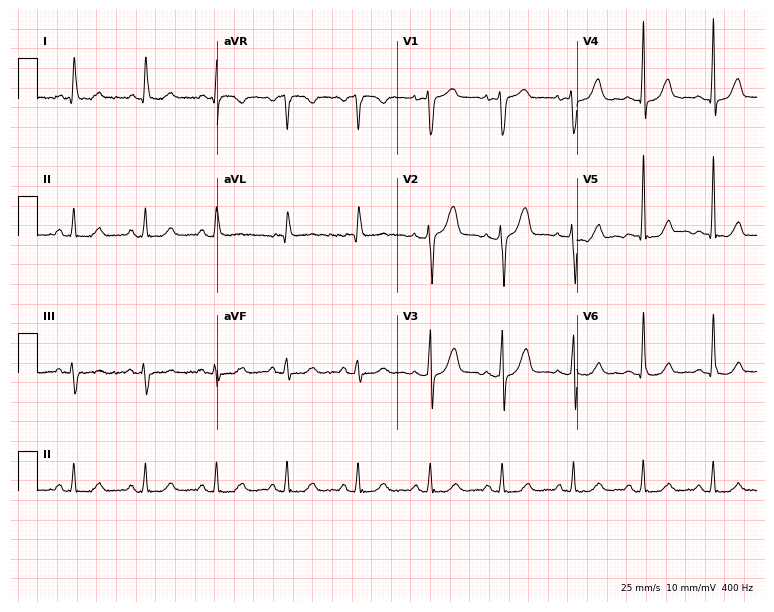
12-lead ECG from a 49-year-old male. Labelled as a normal ECG.